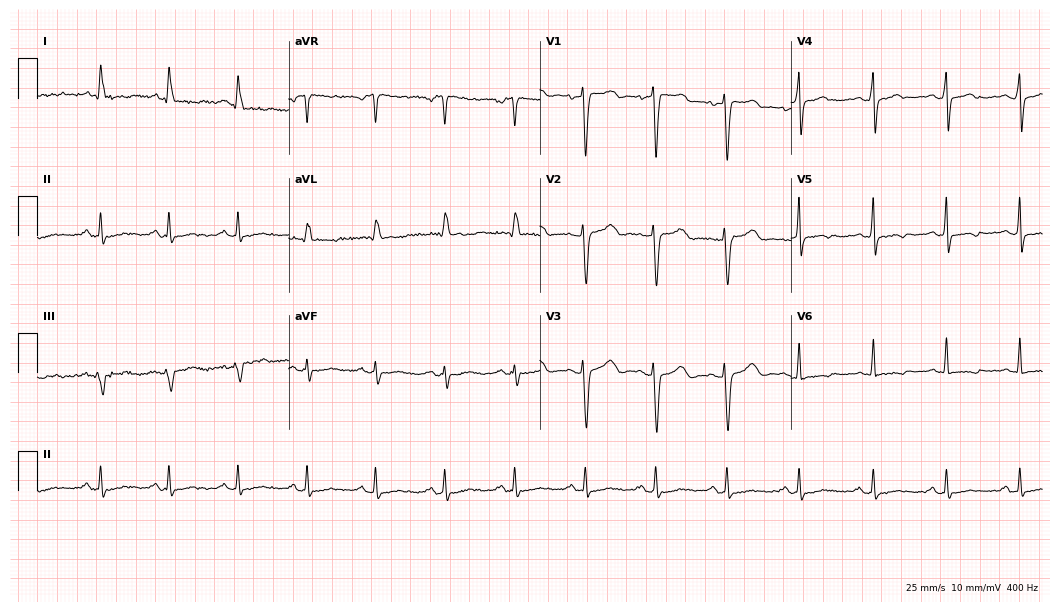
12-lead ECG from a 51-year-old woman. No first-degree AV block, right bundle branch block (RBBB), left bundle branch block (LBBB), sinus bradycardia, atrial fibrillation (AF) or sinus tachycardia recorded for this tracing.